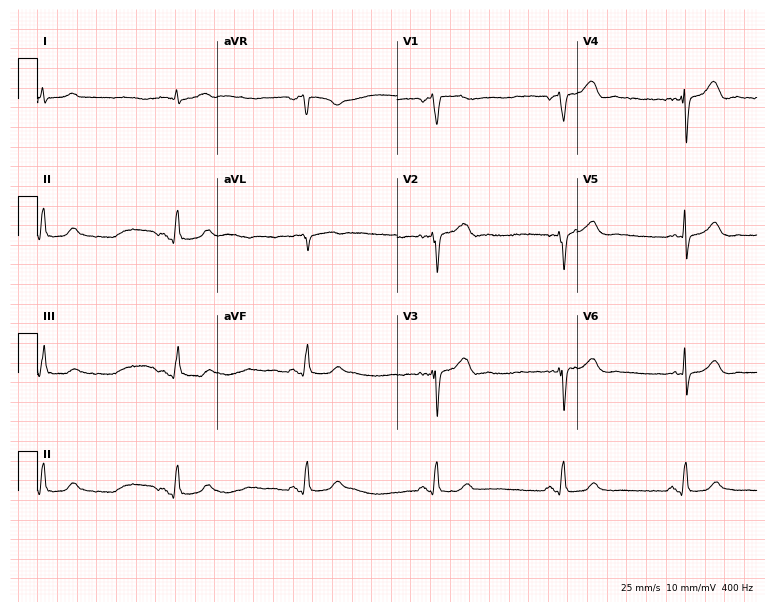
Resting 12-lead electrocardiogram. Patient: a male, 57 years old. The tracing shows sinus bradycardia (a sinus rate of 50 beats per minute or less).